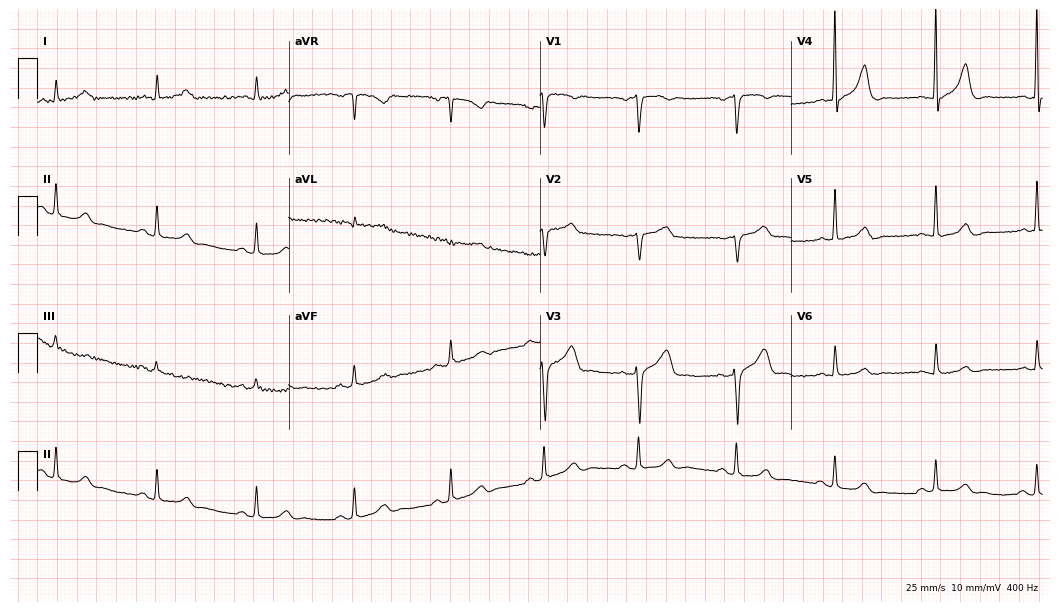
ECG (10.2-second recording at 400 Hz) — a 67-year-old male patient. Screened for six findings — first-degree AV block, right bundle branch block, left bundle branch block, sinus bradycardia, atrial fibrillation, sinus tachycardia — none is recorded.